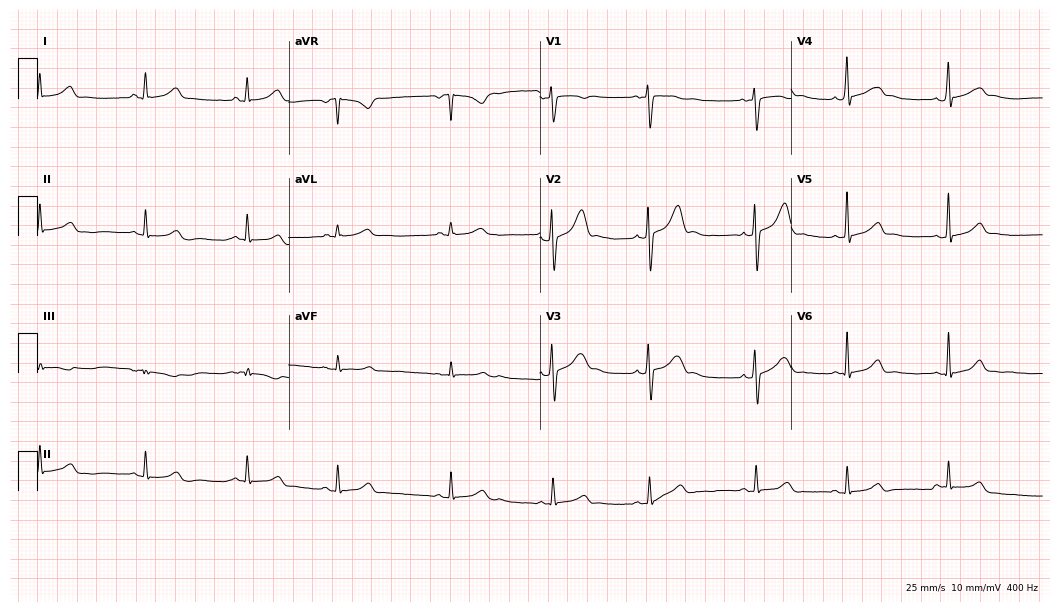
Standard 12-lead ECG recorded from a female patient, 23 years old. Read as a normal ECG.